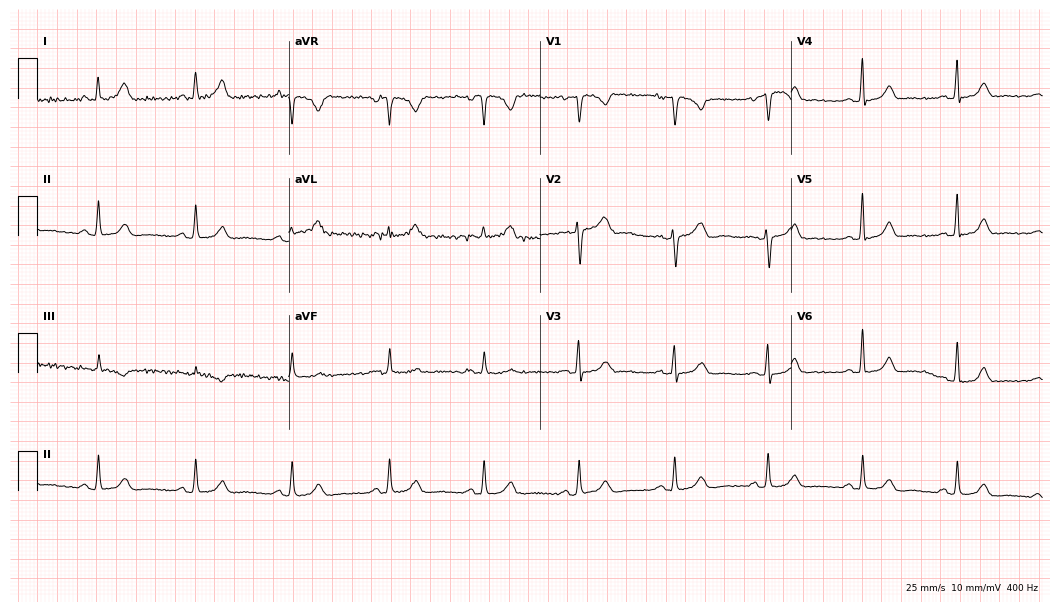
Standard 12-lead ECG recorded from a 40-year-old female patient (10.2-second recording at 400 Hz). None of these six findings is recorded: first-degree AV block, right bundle branch block (RBBB), left bundle branch block (LBBB), sinus bradycardia, atrial fibrillation (AF), sinus tachycardia.